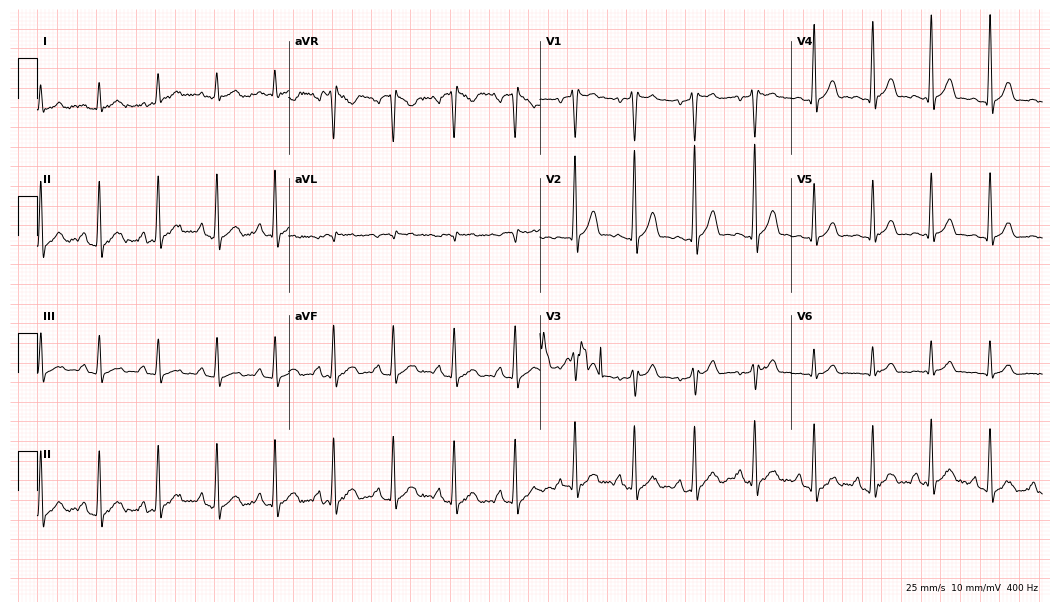
Resting 12-lead electrocardiogram (10.2-second recording at 400 Hz). Patient: a 41-year-old male. None of these six findings is recorded: first-degree AV block, right bundle branch block, left bundle branch block, sinus bradycardia, atrial fibrillation, sinus tachycardia.